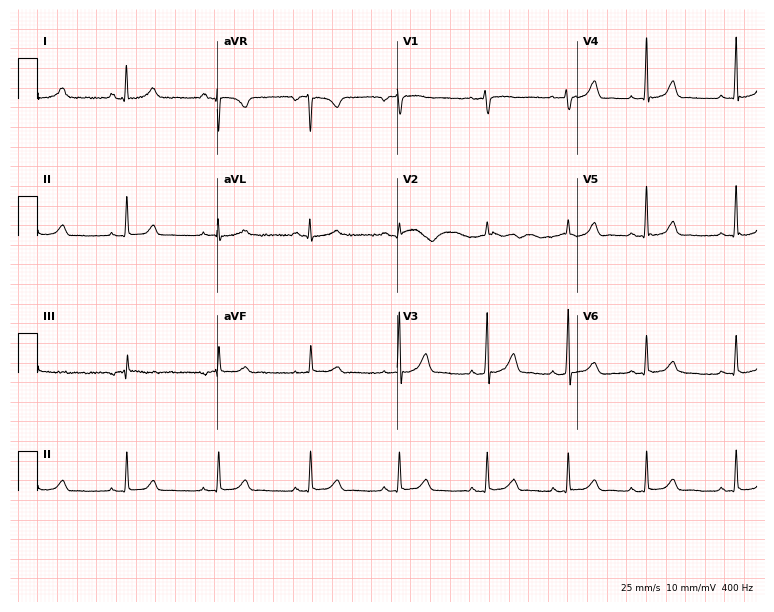
Standard 12-lead ECG recorded from a 34-year-old female. Read as a normal ECG.